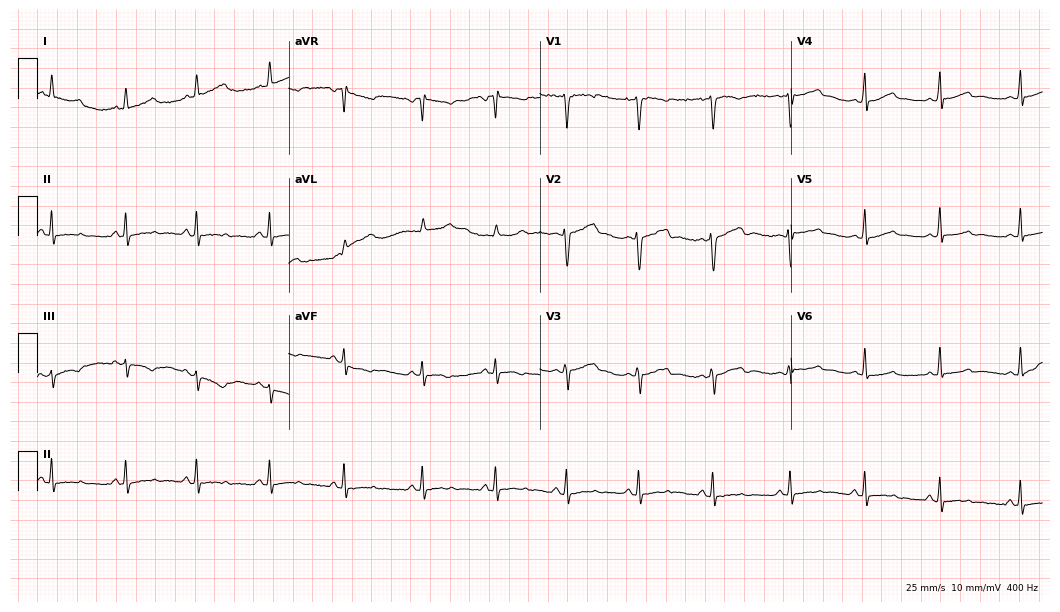
Resting 12-lead electrocardiogram (10.2-second recording at 400 Hz). Patient: a 21-year-old female. None of these six findings is recorded: first-degree AV block, right bundle branch block, left bundle branch block, sinus bradycardia, atrial fibrillation, sinus tachycardia.